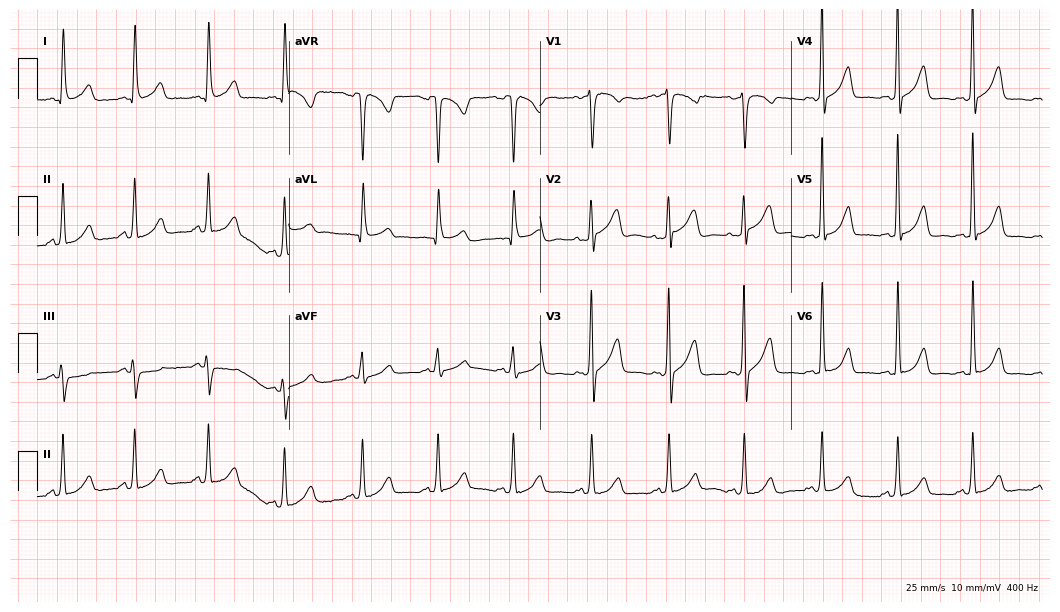
ECG — a female, 39 years old. Labelled as a normal ECG.